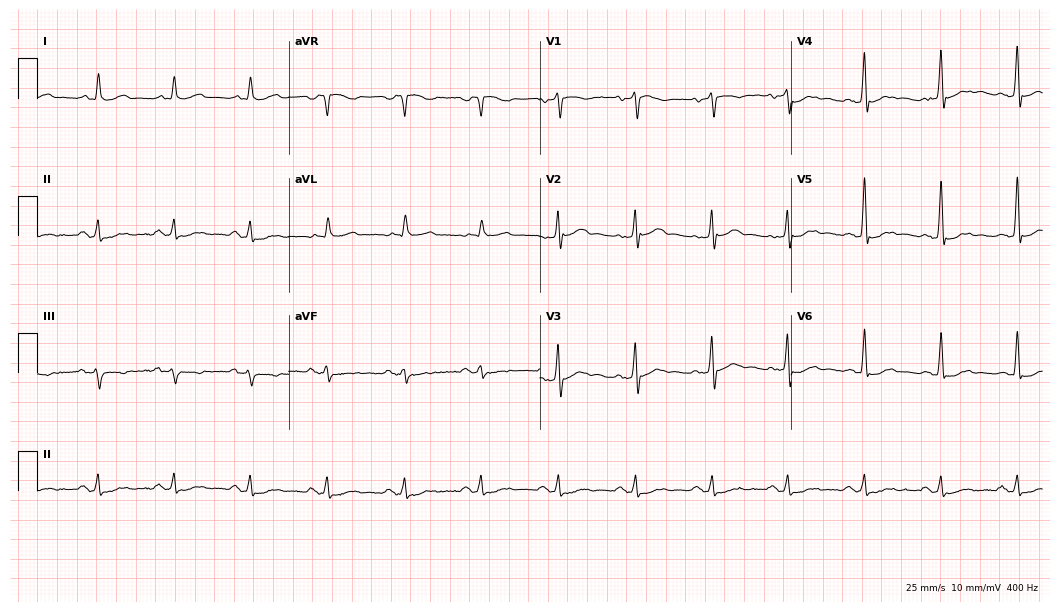
12-lead ECG from a male patient, 59 years old. No first-degree AV block, right bundle branch block, left bundle branch block, sinus bradycardia, atrial fibrillation or sinus tachycardia recorded for this tracing.